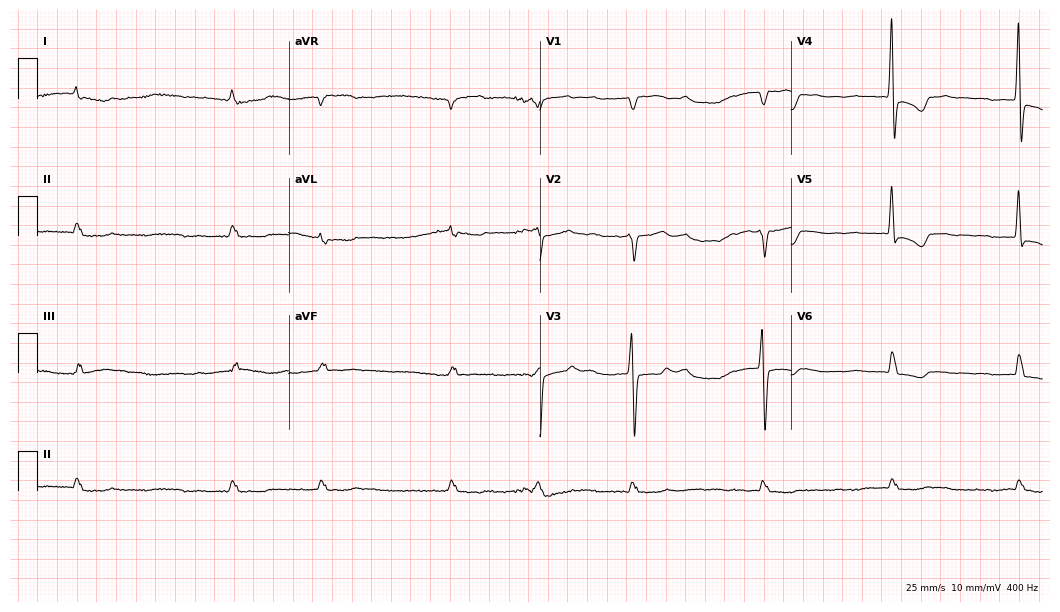
Standard 12-lead ECG recorded from a male, 76 years old (10.2-second recording at 400 Hz). The tracing shows atrial fibrillation.